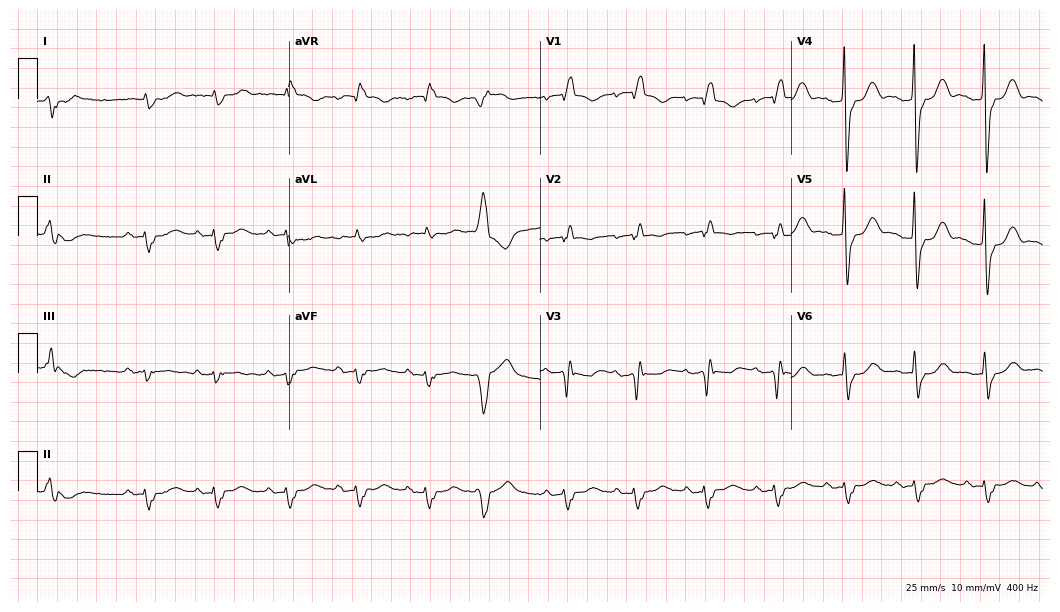
ECG (10.2-second recording at 400 Hz) — a female, 46 years old. Findings include right bundle branch block.